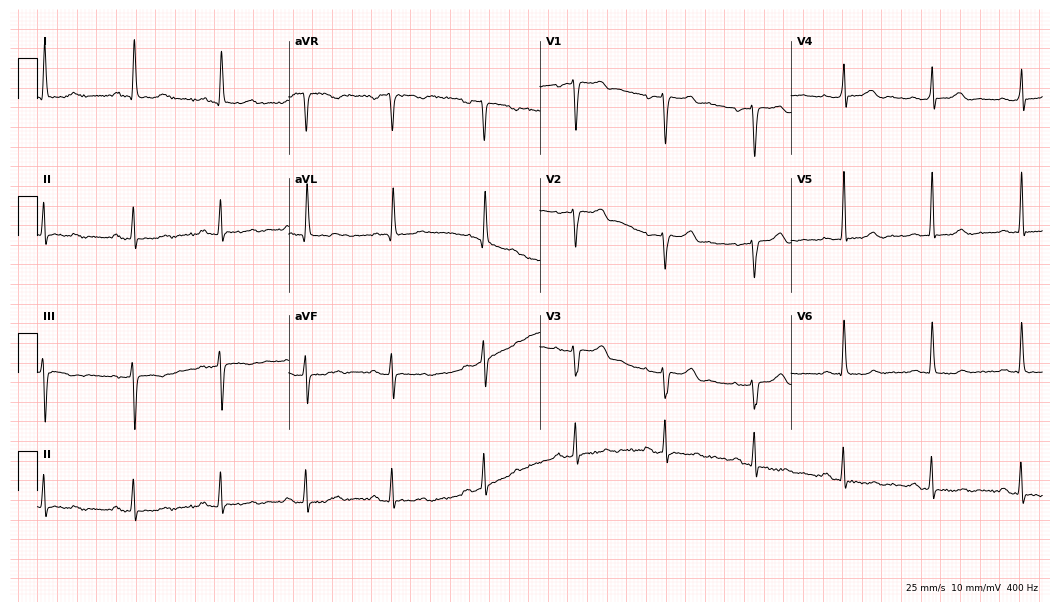
Electrocardiogram (10.2-second recording at 400 Hz), a female, 69 years old. Of the six screened findings (first-degree AV block, right bundle branch block, left bundle branch block, sinus bradycardia, atrial fibrillation, sinus tachycardia), none is recorded.